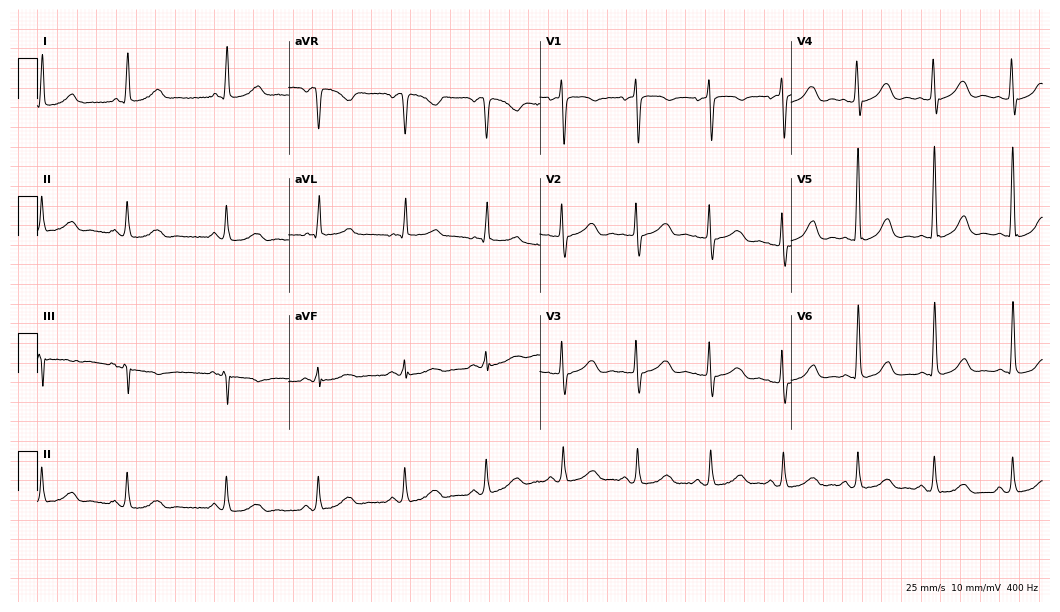
Standard 12-lead ECG recorded from an 81-year-old female patient (10.2-second recording at 400 Hz). Read as a normal ECG.